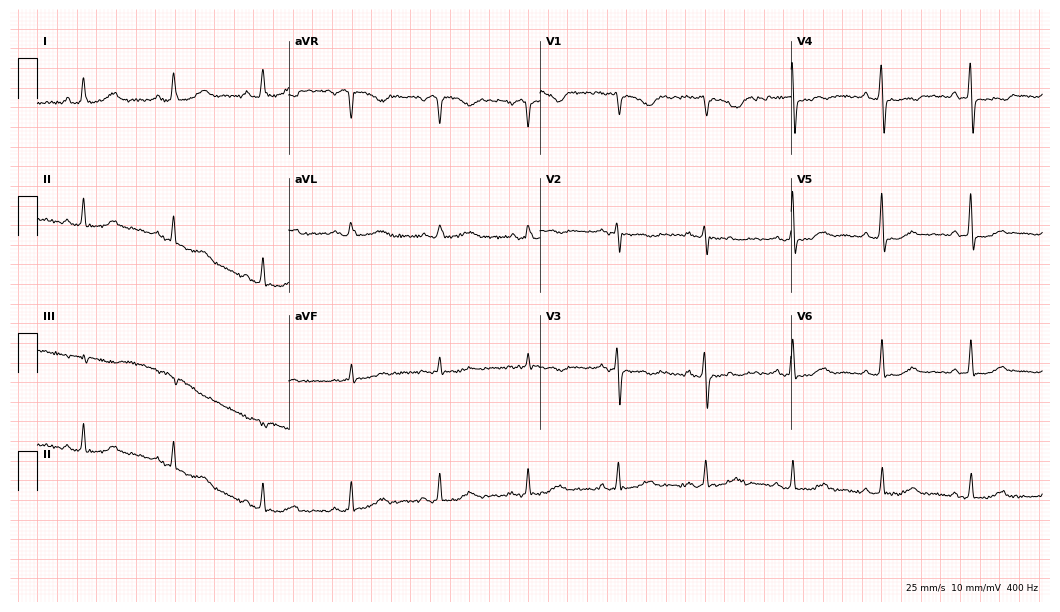
12-lead ECG (10.2-second recording at 400 Hz) from a 45-year-old woman. Screened for six findings — first-degree AV block, right bundle branch block, left bundle branch block, sinus bradycardia, atrial fibrillation, sinus tachycardia — none is recorded.